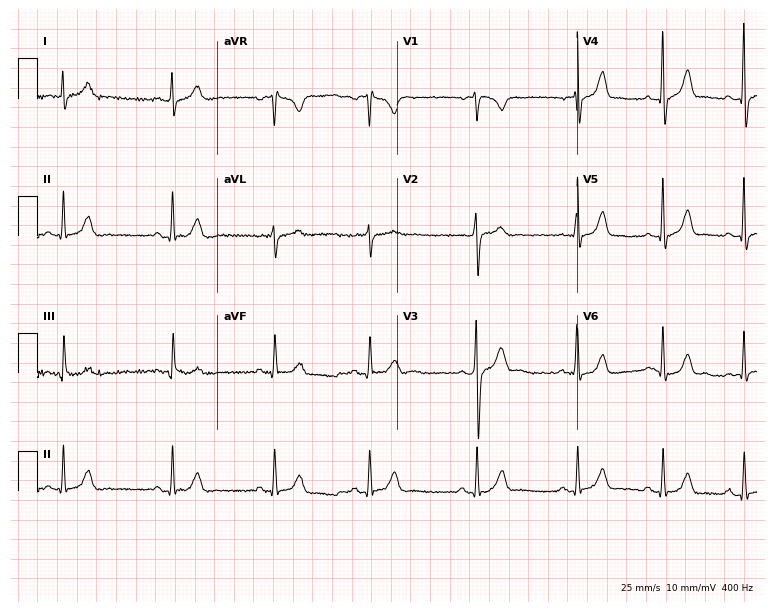
12-lead ECG from a male patient, 29 years old (7.3-second recording at 400 Hz). Recorded interpretation: within normal limits.